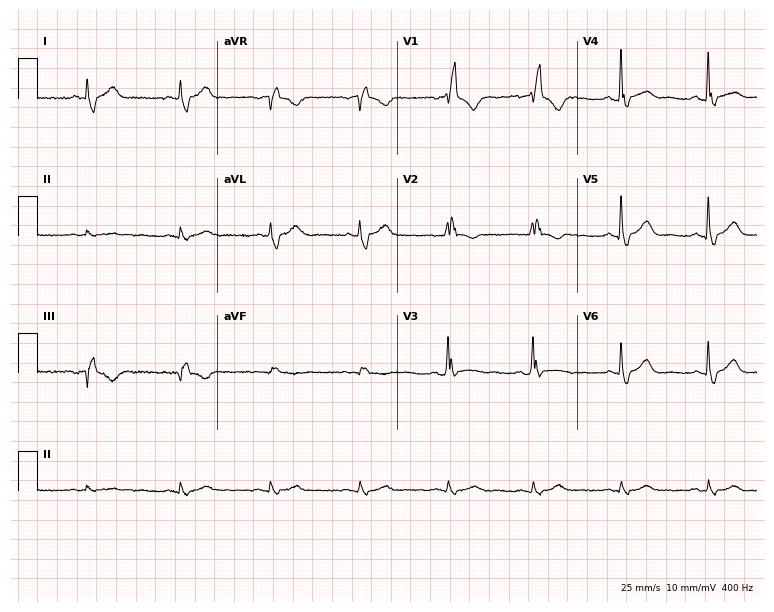
Resting 12-lead electrocardiogram. Patient: a woman, 67 years old. The tracing shows right bundle branch block.